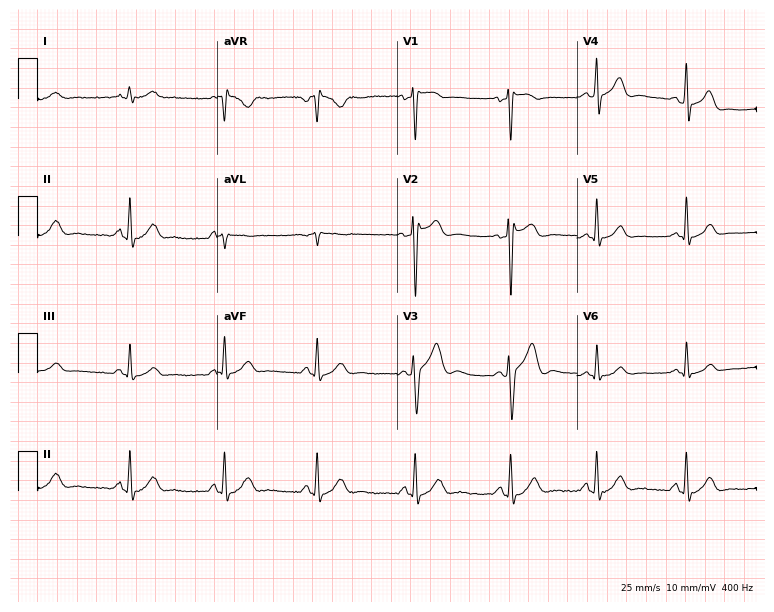
Standard 12-lead ECG recorded from a man, 22 years old (7.3-second recording at 400 Hz). None of these six findings is recorded: first-degree AV block, right bundle branch block, left bundle branch block, sinus bradycardia, atrial fibrillation, sinus tachycardia.